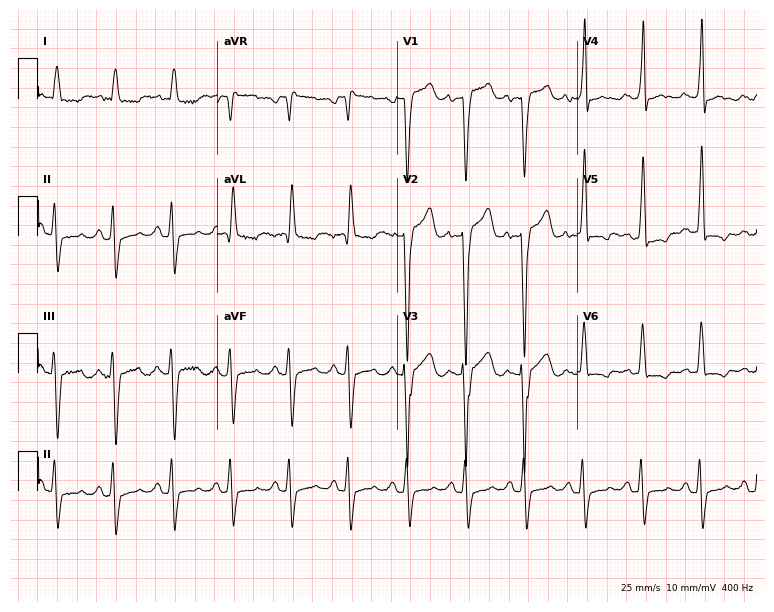
ECG — a man, 64 years old. Screened for six findings — first-degree AV block, right bundle branch block, left bundle branch block, sinus bradycardia, atrial fibrillation, sinus tachycardia — none is recorded. Only these six findings were labelled.